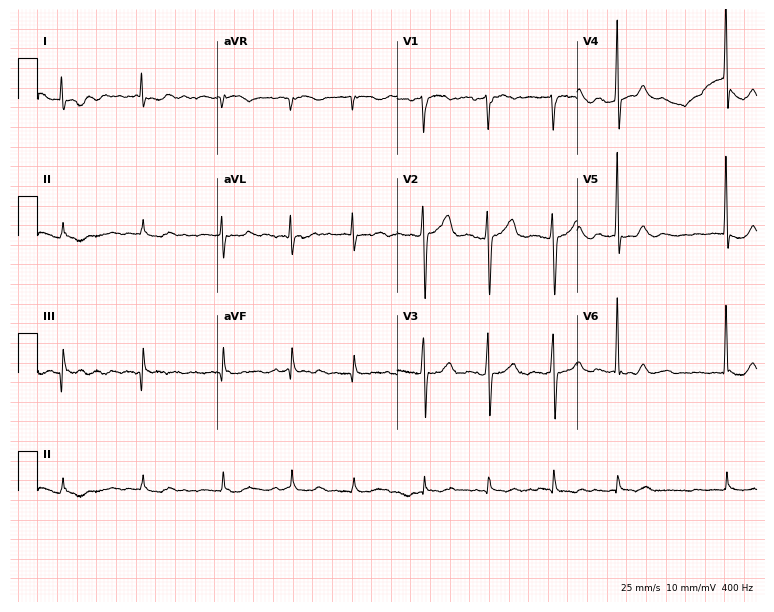
Electrocardiogram, an 82-year-old man. Interpretation includes atrial fibrillation (AF).